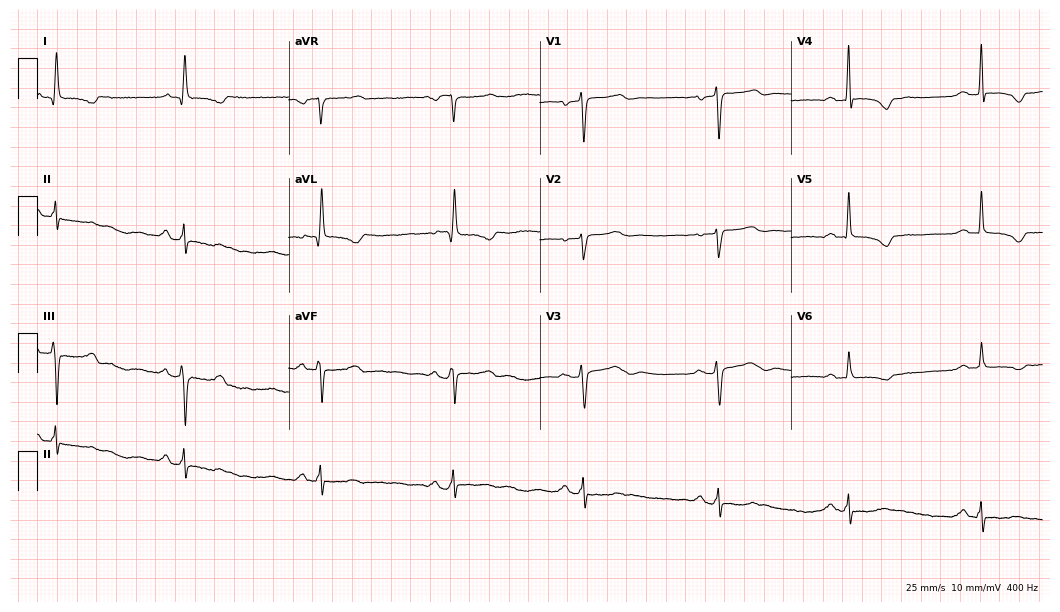
Standard 12-lead ECG recorded from a 56-year-old woman (10.2-second recording at 400 Hz). The tracing shows sinus bradycardia (a sinus rate of 50 beats per minute or less).